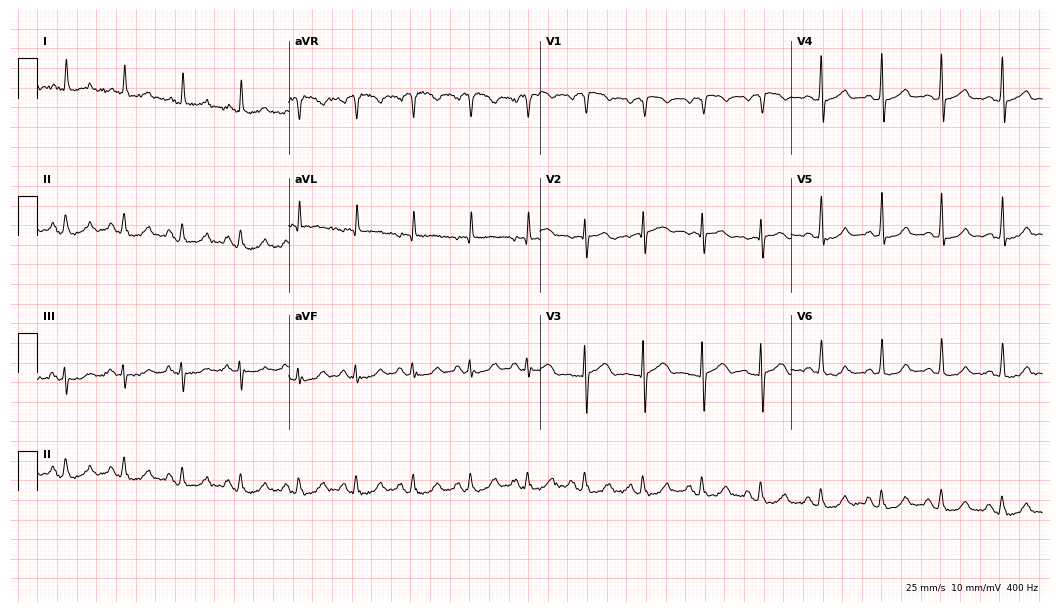
Electrocardiogram (10.2-second recording at 400 Hz), a 71-year-old male. Of the six screened findings (first-degree AV block, right bundle branch block, left bundle branch block, sinus bradycardia, atrial fibrillation, sinus tachycardia), none is recorded.